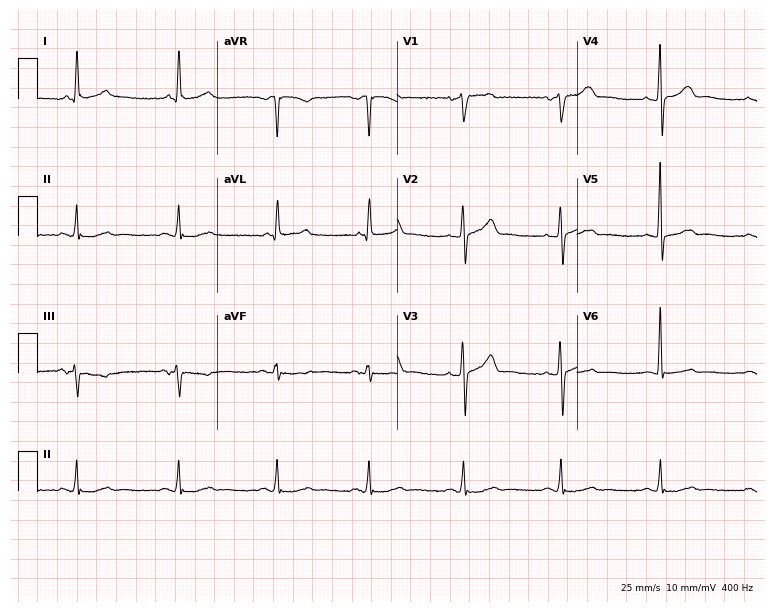
Electrocardiogram, a 69-year-old man. Overall reading on record: normal ECG.